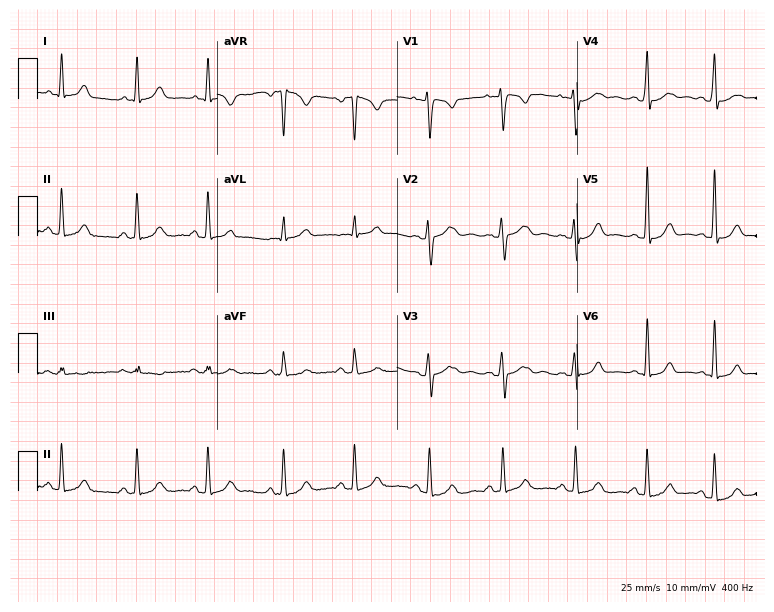
Standard 12-lead ECG recorded from a female patient, 20 years old (7.3-second recording at 400 Hz). None of these six findings is recorded: first-degree AV block, right bundle branch block (RBBB), left bundle branch block (LBBB), sinus bradycardia, atrial fibrillation (AF), sinus tachycardia. Only these six findings were labelled.